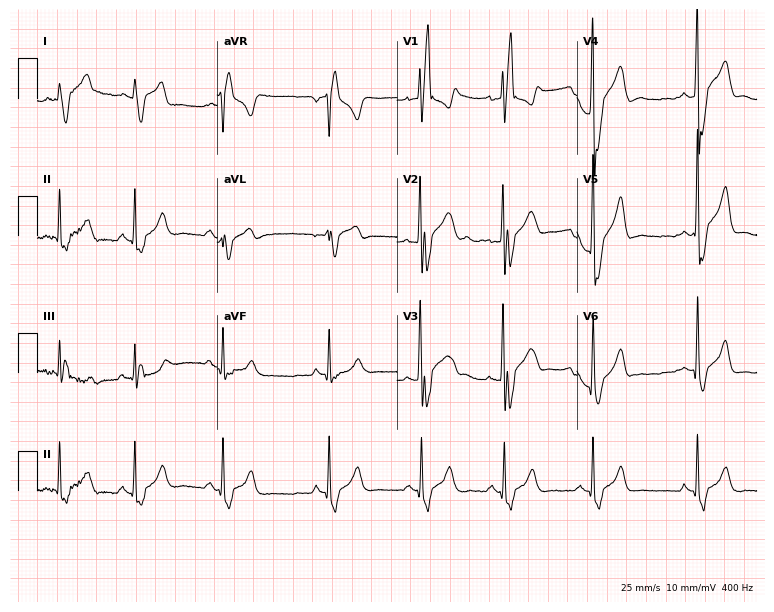
ECG (7.3-second recording at 400 Hz) — a man, 22 years old. Findings include right bundle branch block (RBBB), atrial fibrillation (AF).